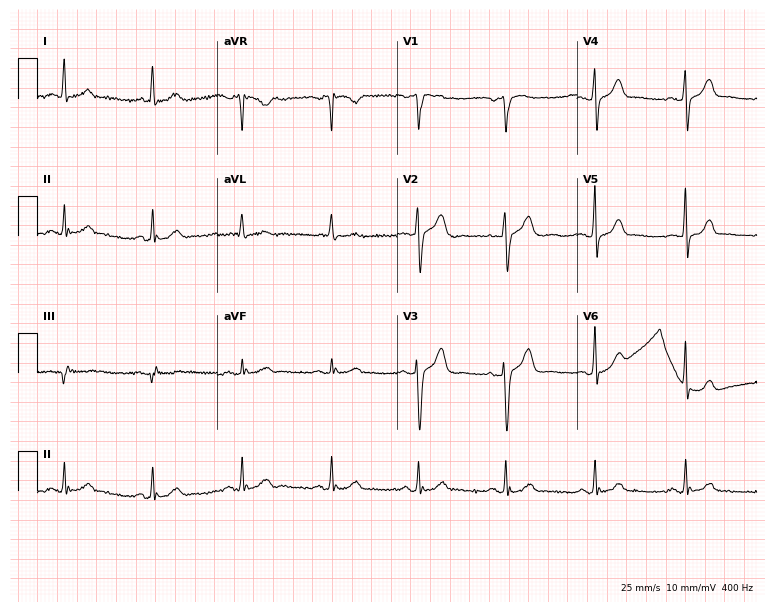
12-lead ECG from a male patient, 71 years old. Labelled as a normal ECG.